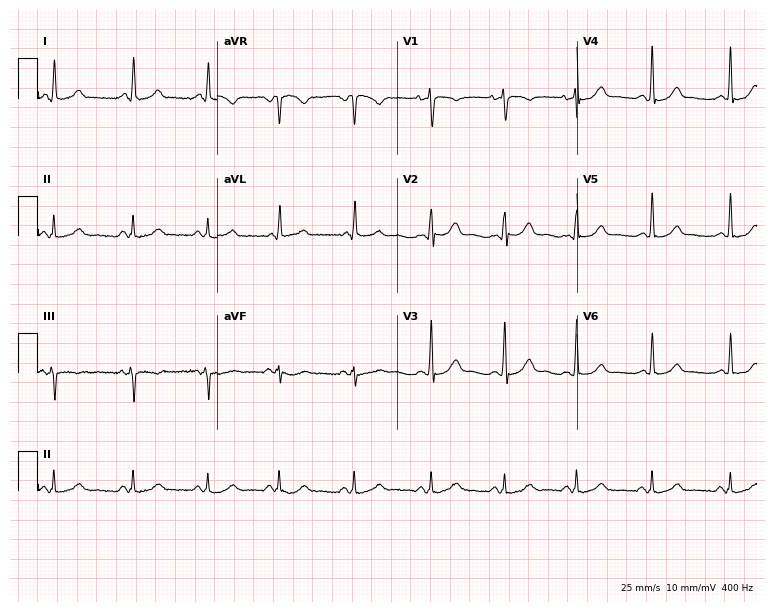
Resting 12-lead electrocardiogram (7.3-second recording at 400 Hz). Patient: a 27-year-old female. None of these six findings is recorded: first-degree AV block, right bundle branch block, left bundle branch block, sinus bradycardia, atrial fibrillation, sinus tachycardia.